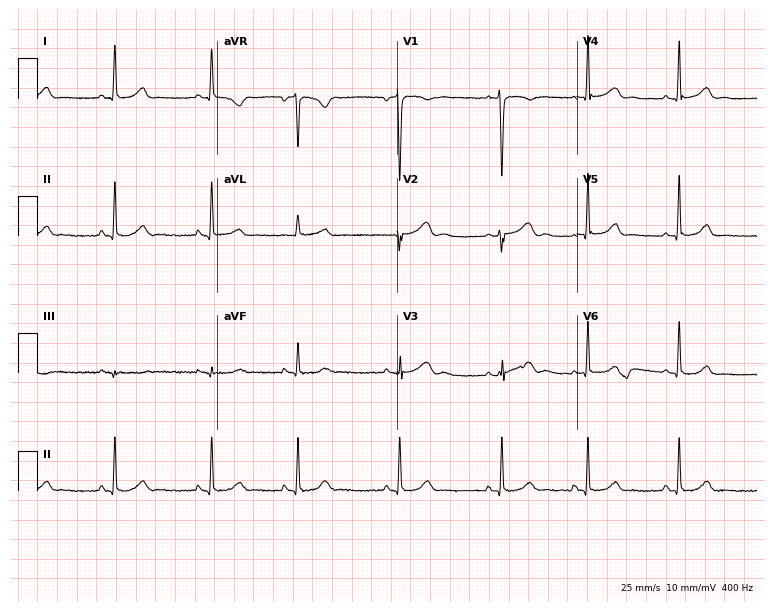
Electrocardiogram (7.3-second recording at 400 Hz), a 43-year-old female patient. Overall reading on record: normal ECG.